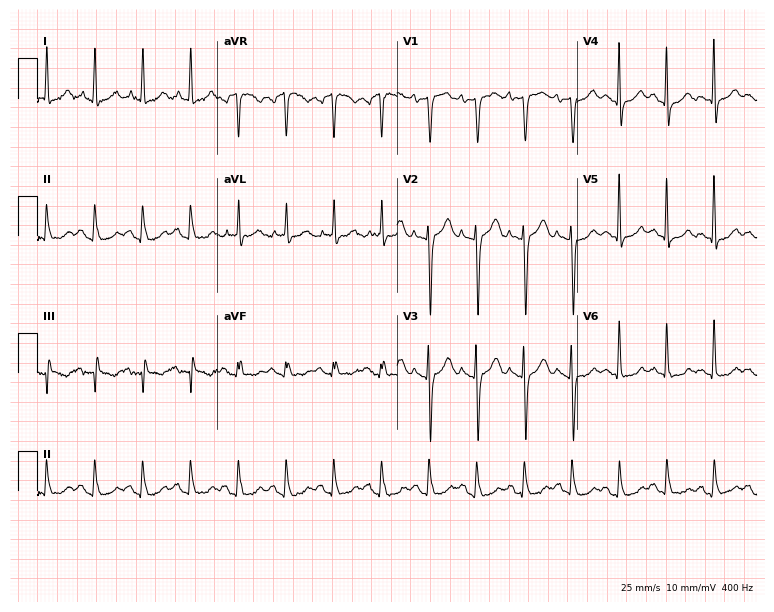
Standard 12-lead ECG recorded from a female, 82 years old (7.3-second recording at 400 Hz). The tracing shows sinus tachycardia (a sinus rate of 100 beats per minute or more).